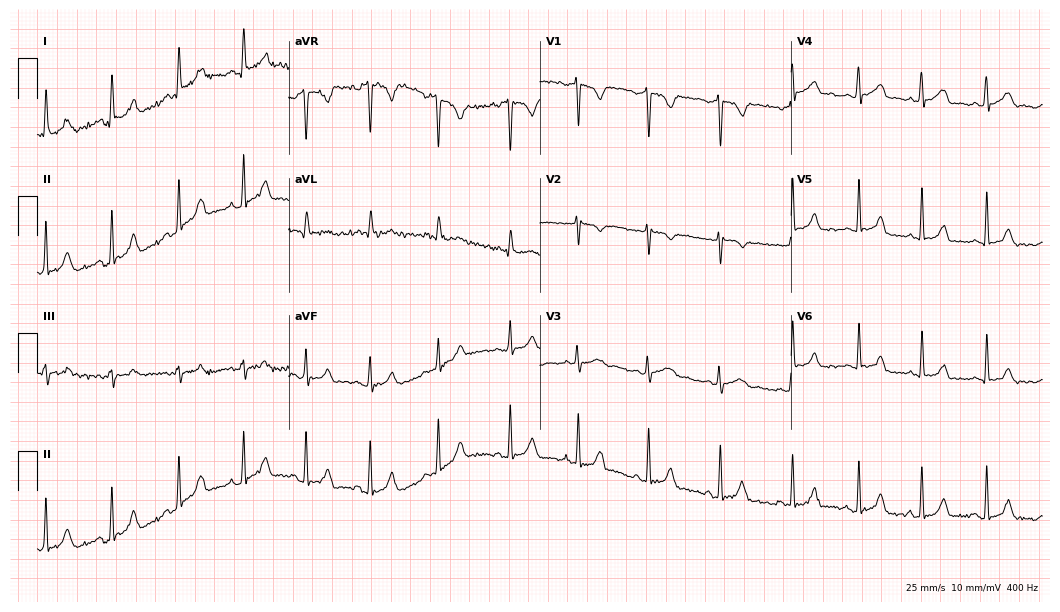
Resting 12-lead electrocardiogram. Patient: a 21-year-old female. Read as a normal ECG.